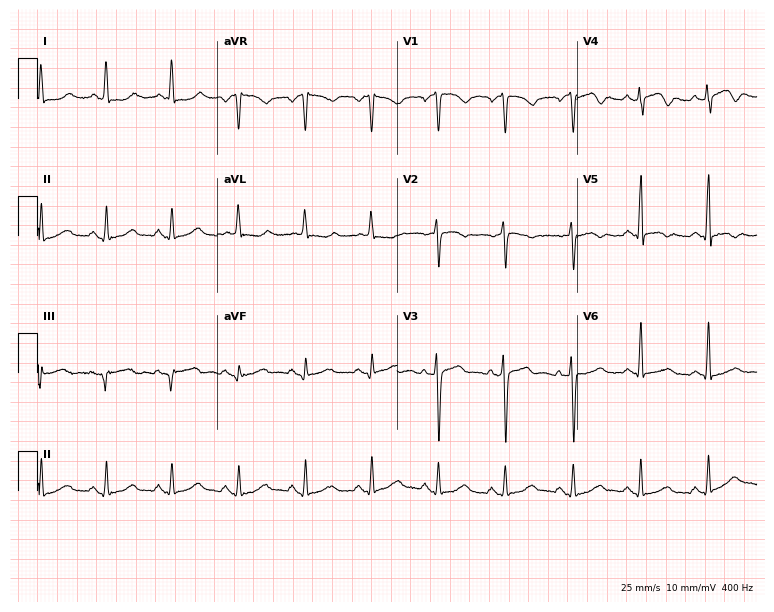
12-lead ECG from a female, 77 years old (7.3-second recording at 400 Hz). No first-degree AV block, right bundle branch block, left bundle branch block, sinus bradycardia, atrial fibrillation or sinus tachycardia recorded for this tracing. Only these six findings were labelled.